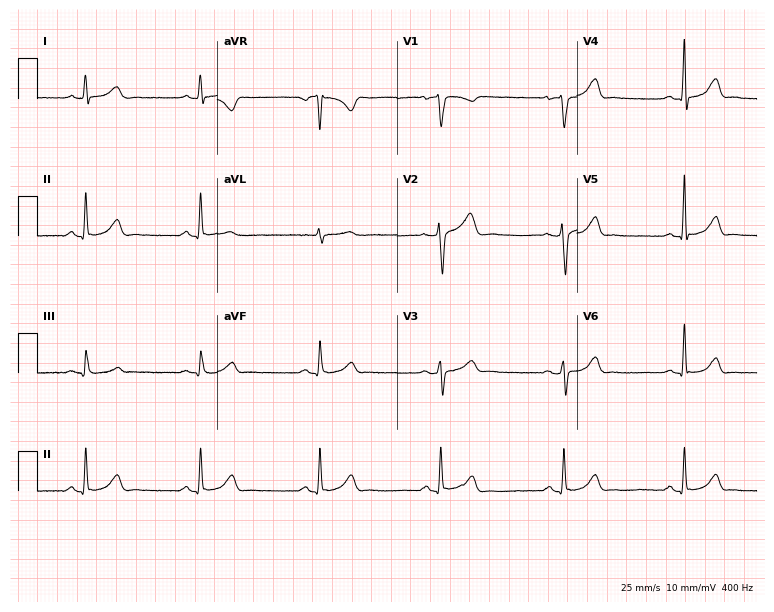
12-lead ECG from a 36-year-old male (7.3-second recording at 400 Hz). Recorded interpretation: within normal limits.